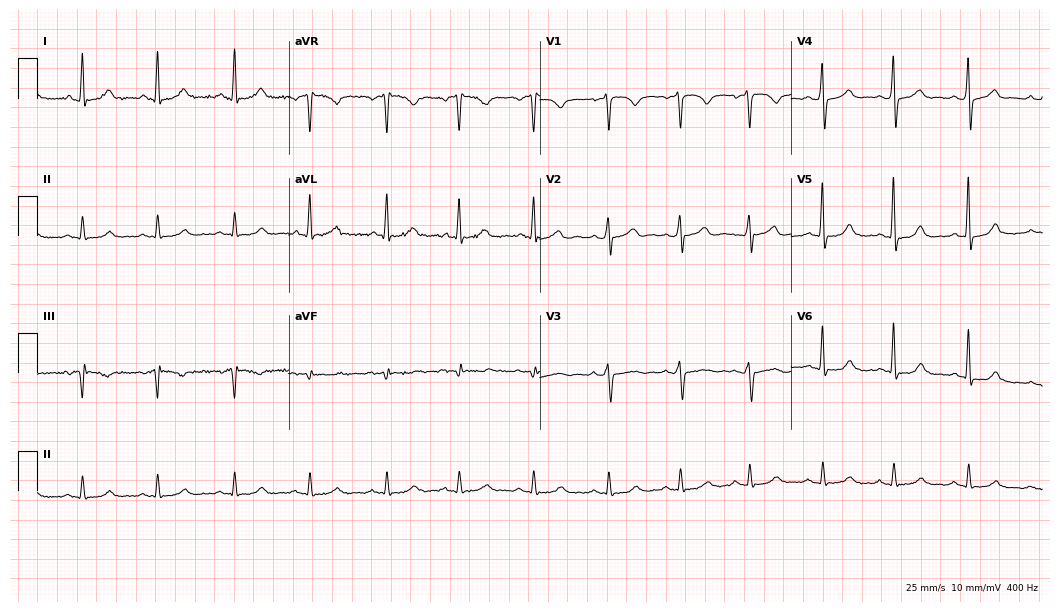
Standard 12-lead ECG recorded from a male, 49 years old. Read as a normal ECG.